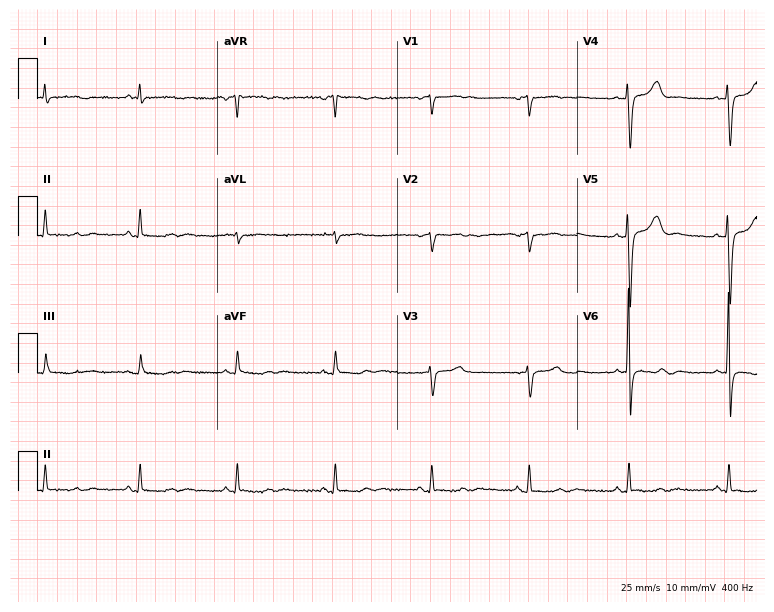
Resting 12-lead electrocardiogram (7.3-second recording at 400 Hz). Patient: a 75-year-old woman. None of these six findings is recorded: first-degree AV block, right bundle branch block, left bundle branch block, sinus bradycardia, atrial fibrillation, sinus tachycardia. Findings outside these six are not listed.